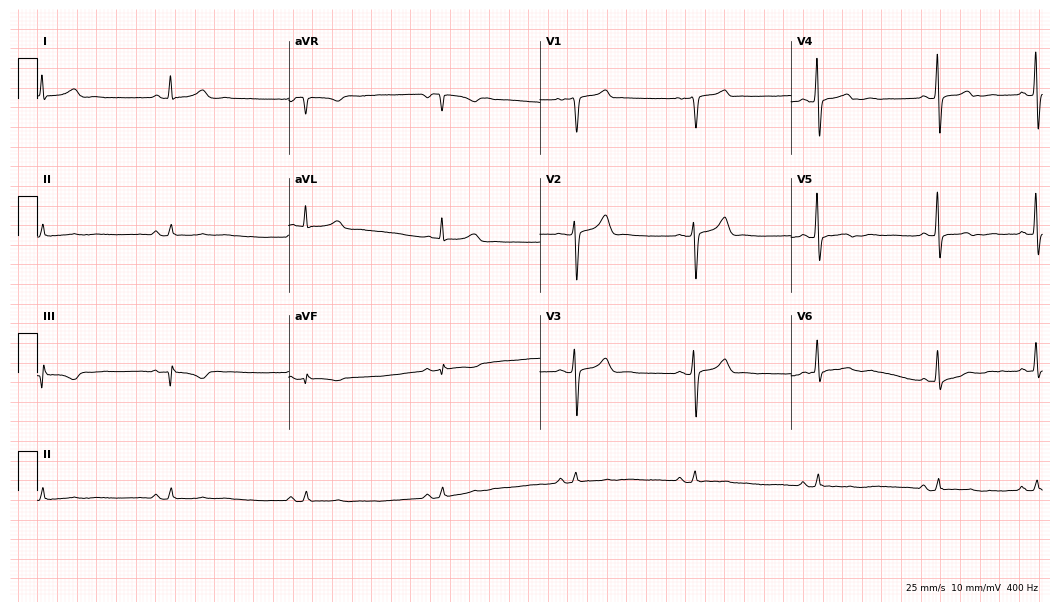
12-lead ECG from a 55-year-old male. Screened for six findings — first-degree AV block, right bundle branch block (RBBB), left bundle branch block (LBBB), sinus bradycardia, atrial fibrillation (AF), sinus tachycardia — none is recorded.